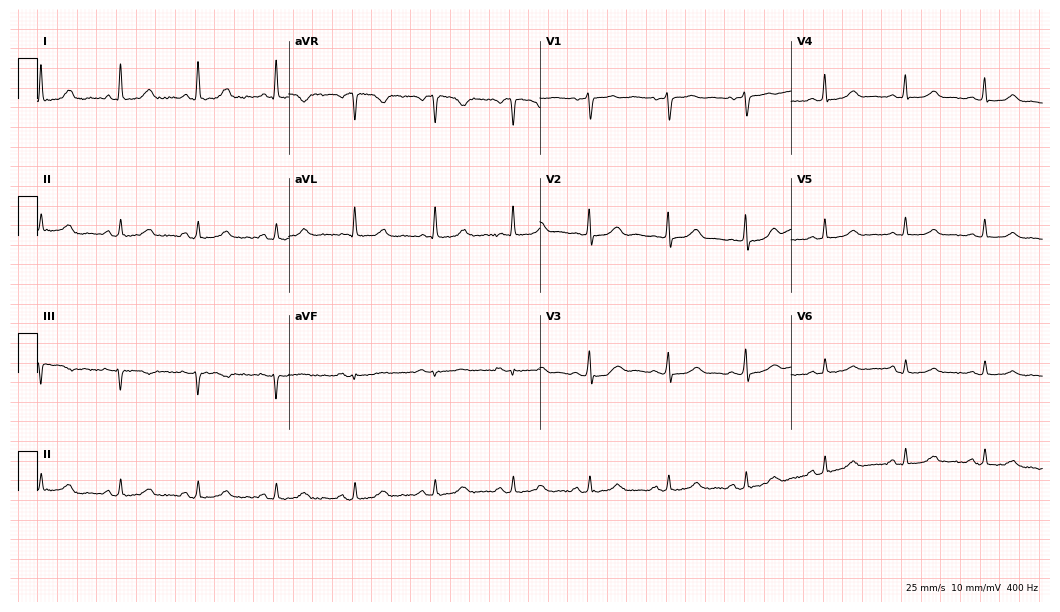
Electrocardiogram, a 44-year-old female patient. Of the six screened findings (first-degree AV block, right bundle branch block (RBBB), left bundle branch block (LBBB), sinus bradycardia, atrial fibrillation (AF), sinus tachycardia), none is recorded.